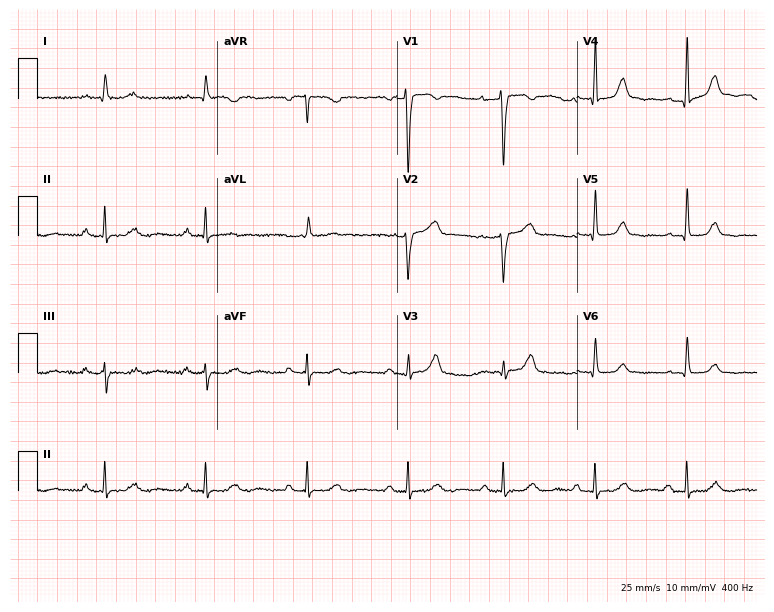
Standard 12-lead ECG recorded from a 52-year-old female patient (7.3-second recording at 400 Hz). None of these six findings is recorded: first-degree AV block, right bundle branch block (RBBB), left bundle branch block (LBBB), sinus bradycardia, atrial fibrillation (AF), sinus tachycardia. Only these six findings were labelled.